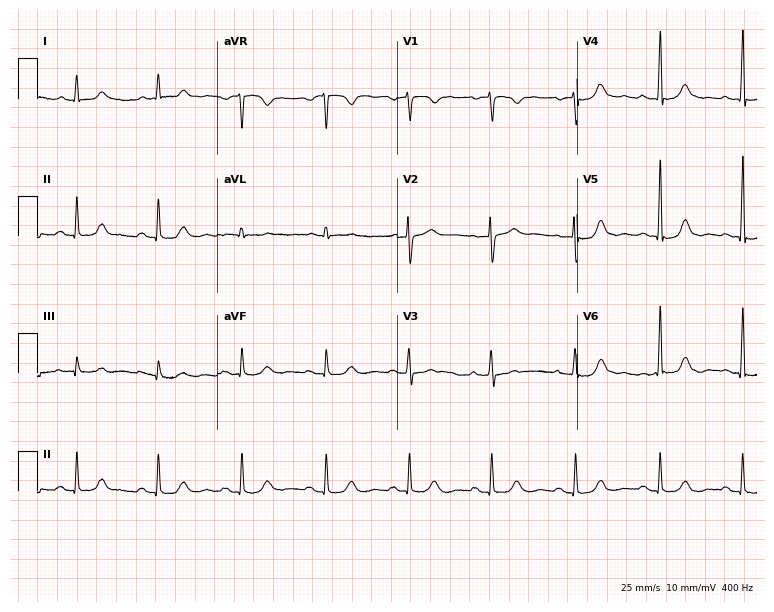
Resting 12-lead electrocardiogram. Patient: a 66-year-old woman. Read as a normal ECG.